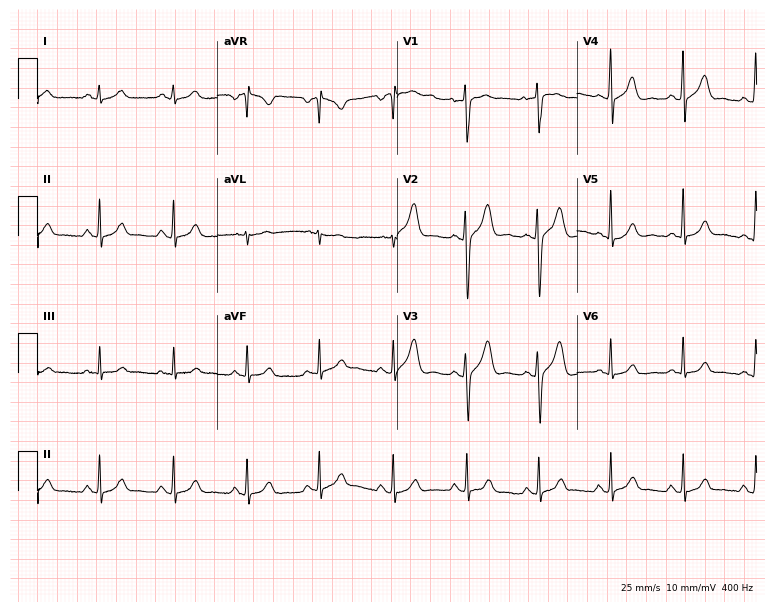
12-lead ECG (7.3-second recording at 400 Hz) from a 47-year-old man. Labelled as a normal ECG.